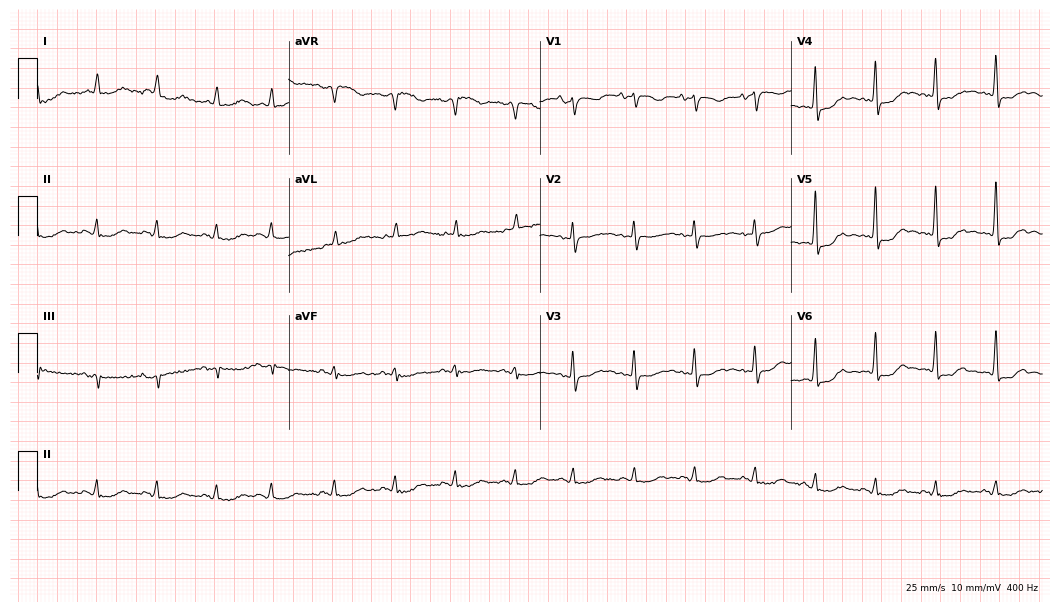
12-lead ECG from an 80-year-old woman. Screened for six findings — first-degree AV block, right bundle branch block (RBBB), left bundle branch block (LBBB), sinus bradycardia, atrial fibrillation (AF), sinus tachycardia — none is recorded.